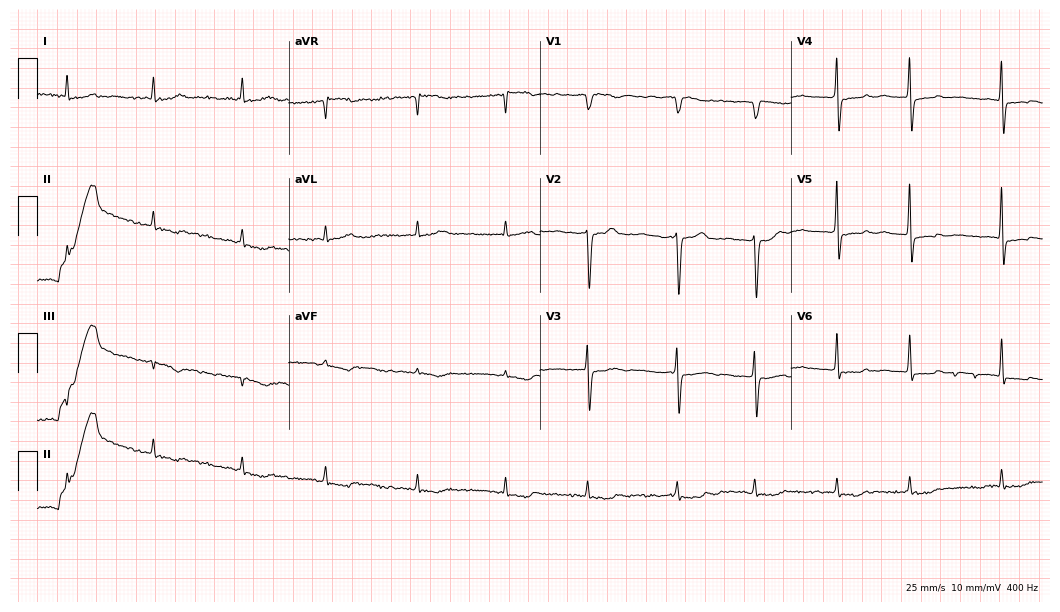
12-lead ECG (10.2-second recording at 400 Hz) from a woman, 83 years old. Screened for six findings — first-degree AV block, right bundle branch block, left bundle branch block, sinus bradycardia, atrial fibrillation, sinus tachycardia — none is recorded. Findings outside these six are not listed.